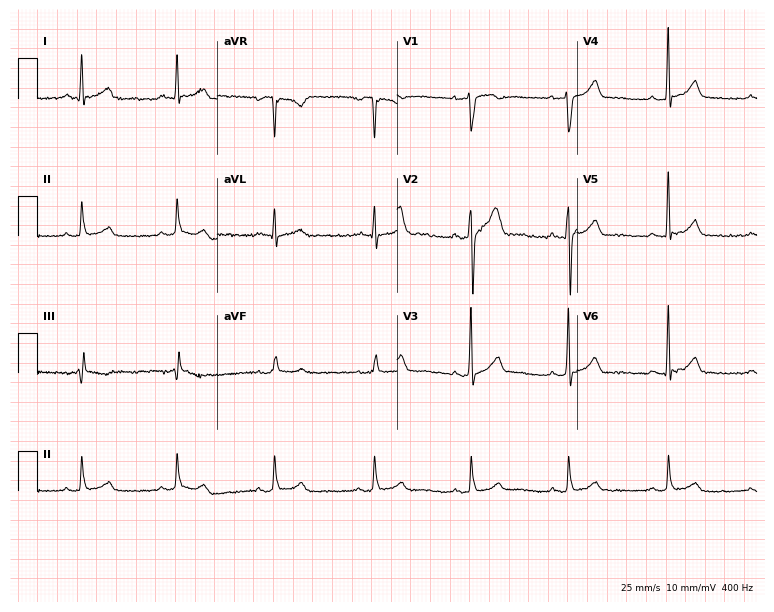
Electrocardiogram (7.3-second recording at 400 Hz), a male patient, 50 years old. Overall reading on record: normal ECG.